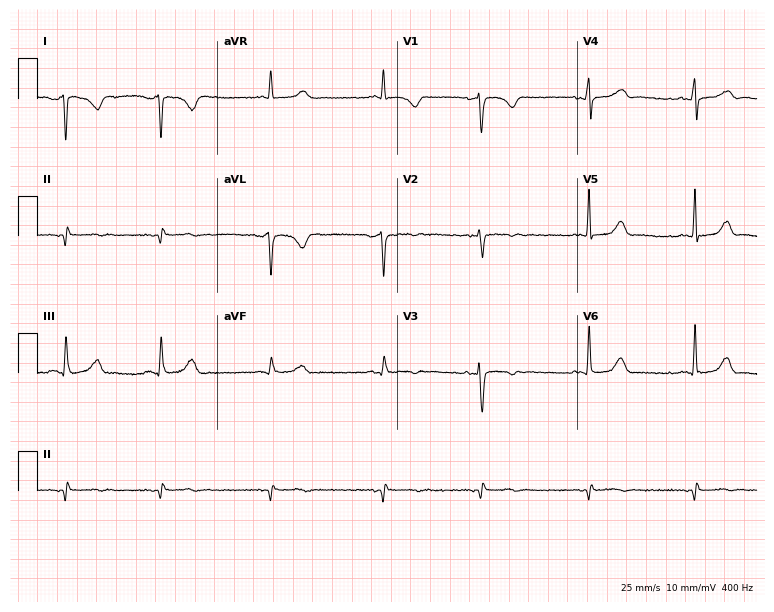
12-lead ECG from a female patient, 37 years old. Screened for six findings — first-degree AV block, right bundle branch block (RBBB), left bundle branch block (LBBB), sinus bradycardia, atrial fibrillation (AF), sinus tachycardia — none is recorded. Other findings, if any, are not listed.